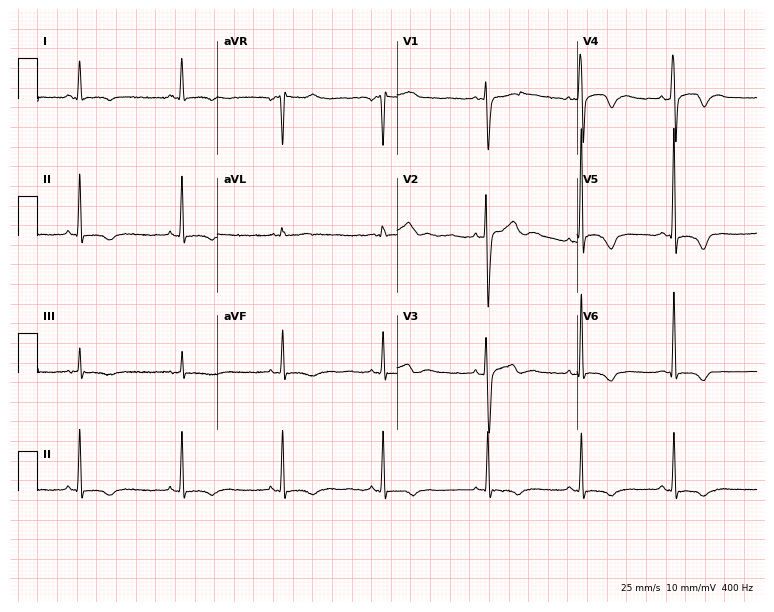
Electrocardiogram (7.3-second recording at 400 Hz), a 42-year-old male patient. Of the six screened findings (first-degree AV block, right bundle branch block, left bundle branch block, sinus bradycardia, atrial fibrillation, sinus tachycardia), none is recorded.